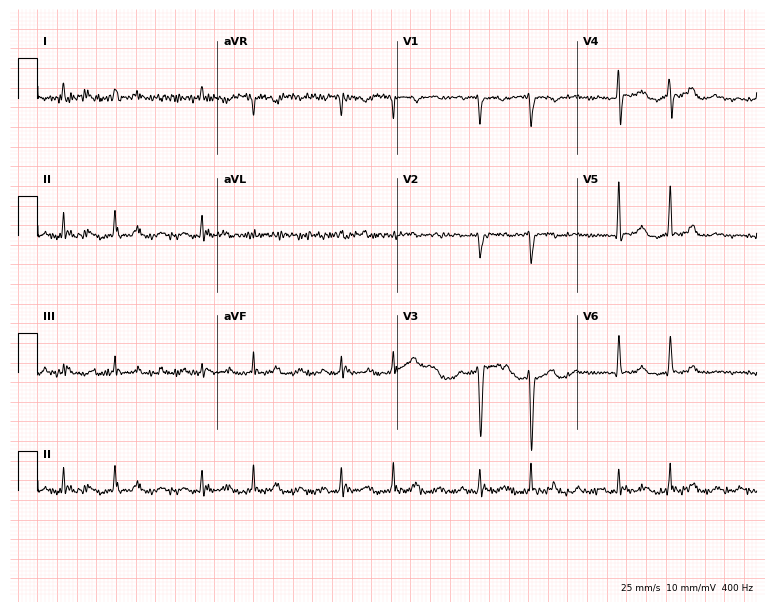
Standard 12-lead ECG recorded from a male, 81 years old (7.3-second recording at 400 Hz). None of these six findings is recorded: first-degree AV block, right bundle branch block, left bundle branch block, sinus bradycardia, atrial fibrillation, sinus tachycardia.